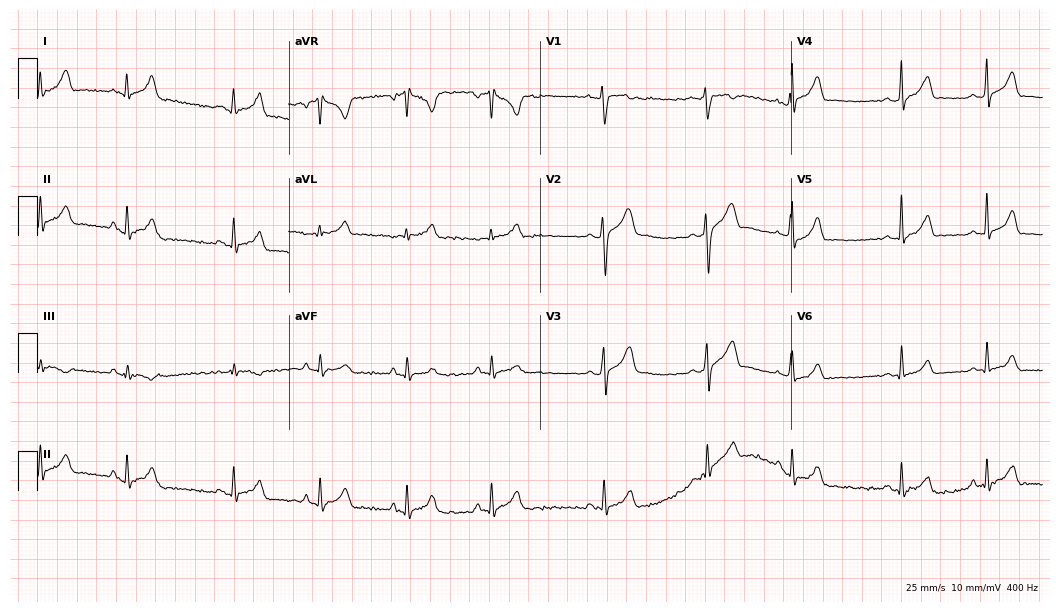
12-lead ECG (10.2-second recording at 400 Hz) from a man, 23 years old. Screened for six findings — first-degree AV block, right bundle branch block, left bundle branch block, sinus bradycardia, atrial fibrillation, sinus tachycardia — none is recorded.